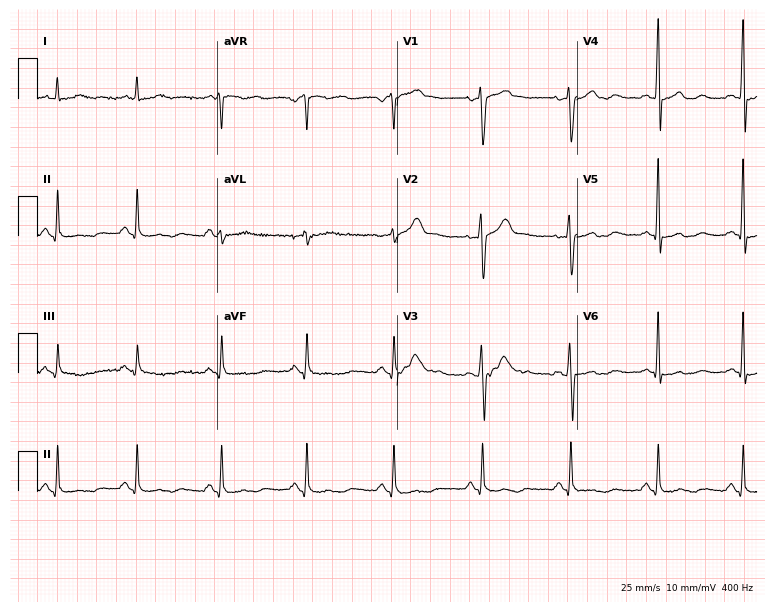
12-lead ECG from a male patient, 51 years old (7.3-second recording at 400 Hz). No first-degree AV block, right bundle branch block, left bundle branch block, sinus bradycardia, atrial fibrillation or sinus tachycardia recorded for this tracing.